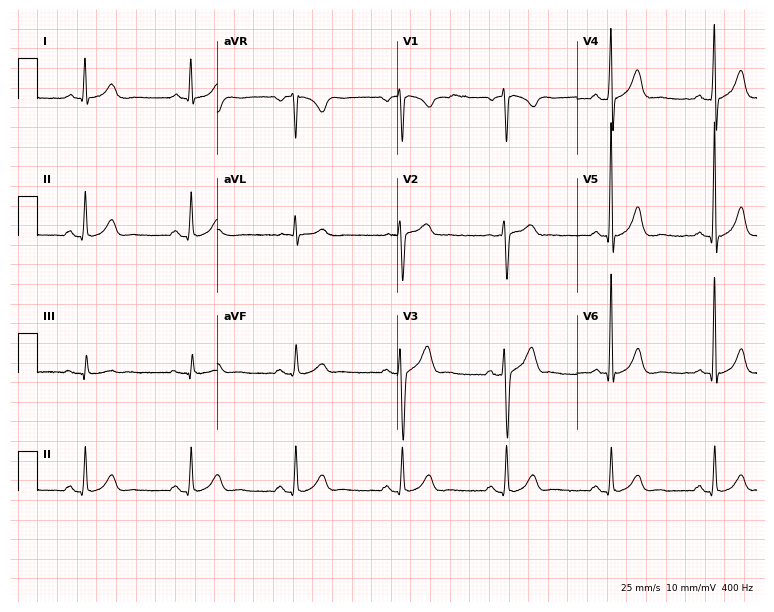
Standard 12-lead ECG recorded from a male patient, 49 years old (7.3-second recording at 400 Hz). Read as a normal ECG.